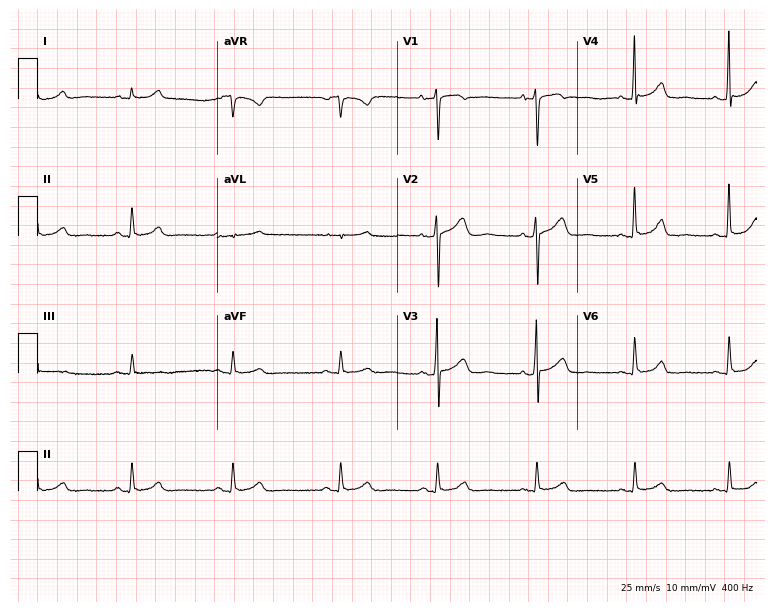
12-lead ECG from a 64-year-old man (7.3-second recording at 400 Hz). Recorded interpretation: within normal limits.